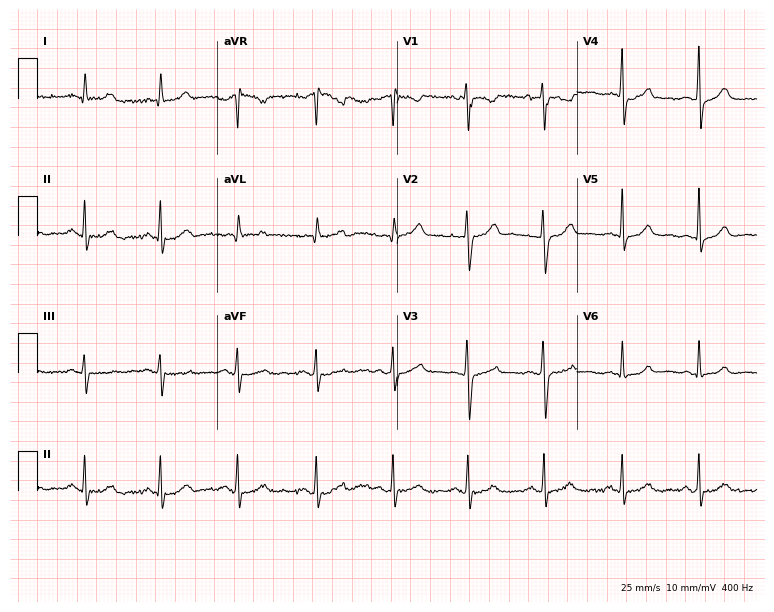
12-lead ECG from a 30-year-old female patient (7.3-second recording at 400 Hz). Recorded interpretation: within normal limits.